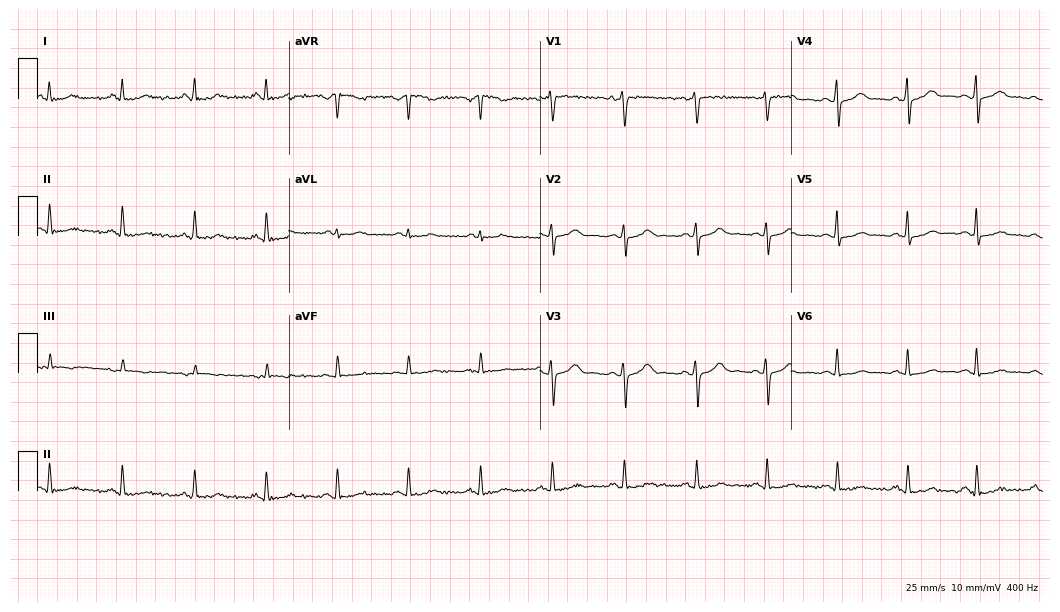
12-lead ECG (10.2-second recording at 400 Hz) from a 31-year-old male. Screened for six findings — first-degree AV block, right bundle branch block, left bundle branch block, sinus bradycardia, atrial fibrillation, sinus tachycardia — none is recorded. Other findings, if any, are not listed.